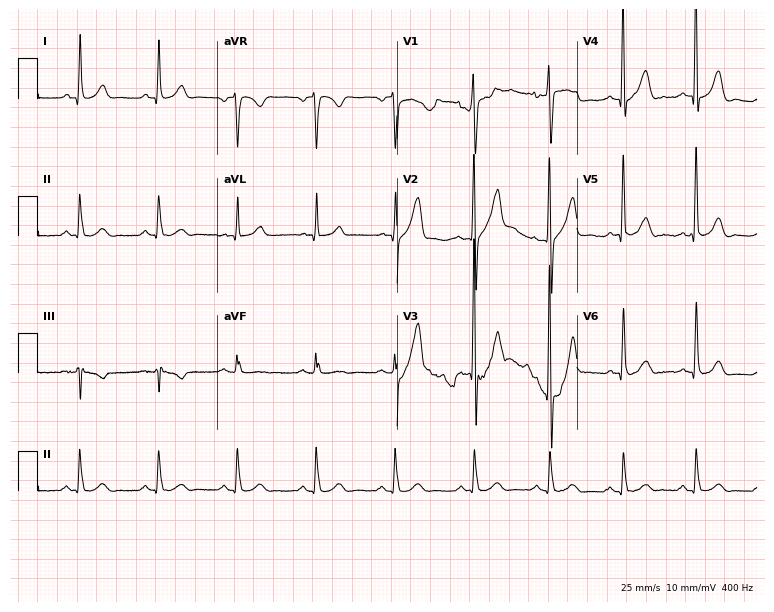
Standard 12-lead ECG recorded from a 63-year-old male (7.3-second recording at 400 Hz). Read as a normal ECG.